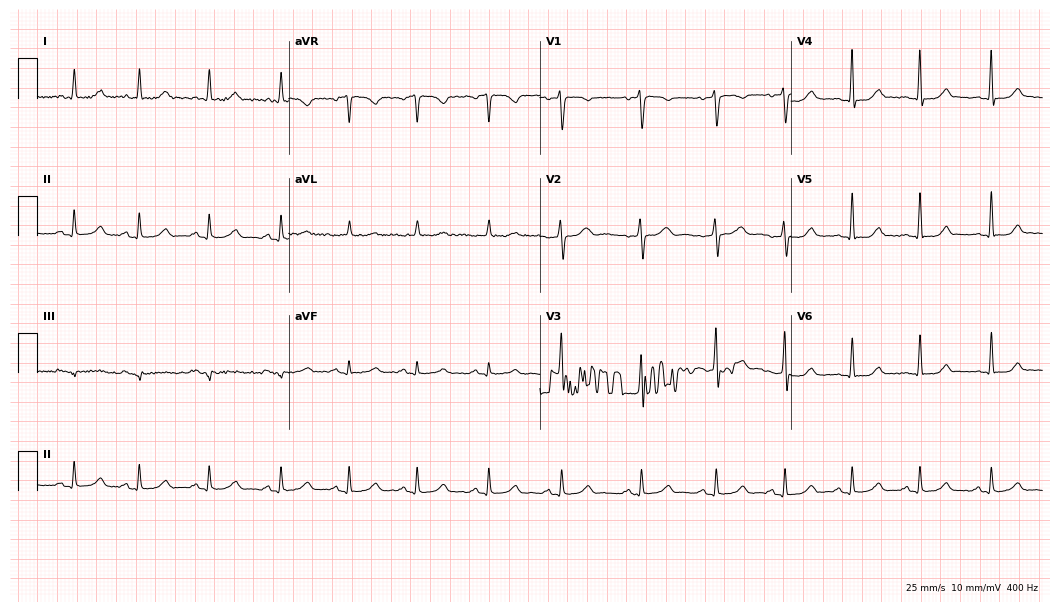
Electrocardiogram (10.2-second recording at 400 Hz), a female patient, 35 years old. Of the six screened findings (first-degree AV block, right bundle branch block (RBBB), left bundle branch block (LBBB), sinus bradycardia, atrial fibrillation (AF), sinus tachycardia), none is recorded. Other findings, if any, are not listed.